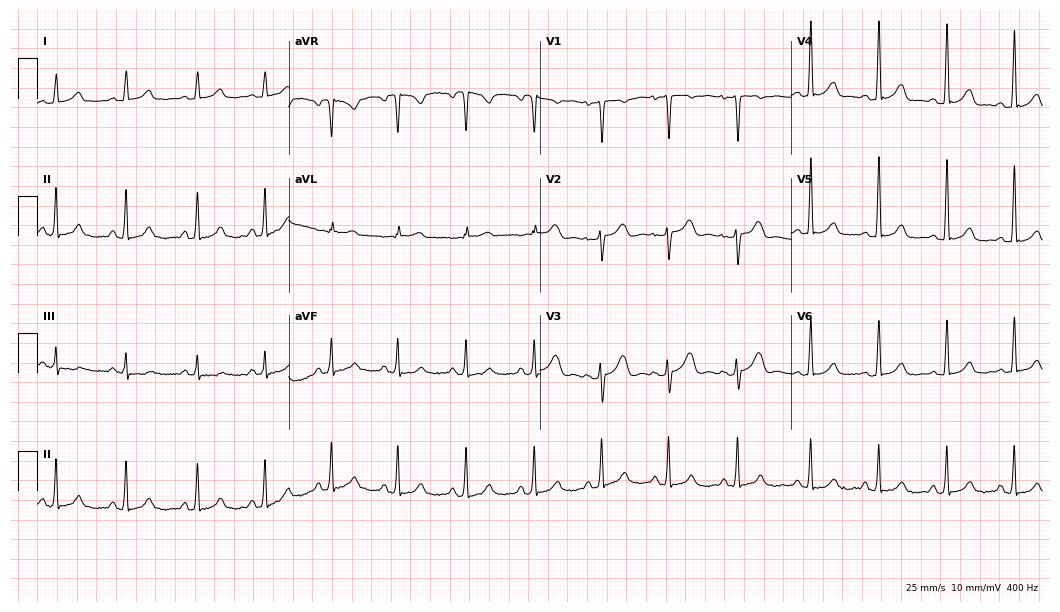
Resting 12-lead electrocardiogram (10.2-second recording at 400 Hz). Patient: a 41-year-old female. Read as a normal ECG.